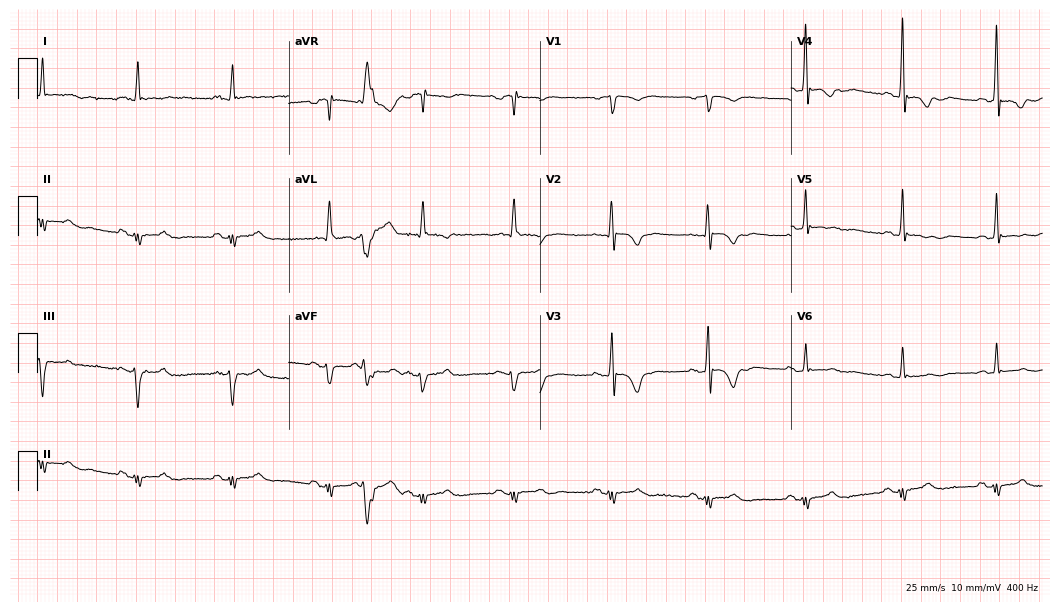
12-lead ECG from a 65-year-old male (10.2-second recording at 400 Hz). No first-degree AV block, right bundle branch block, left bundle branch block, sinus bradycardia, atrial fibrillation or sinus tachycardia recorded for this tracing.